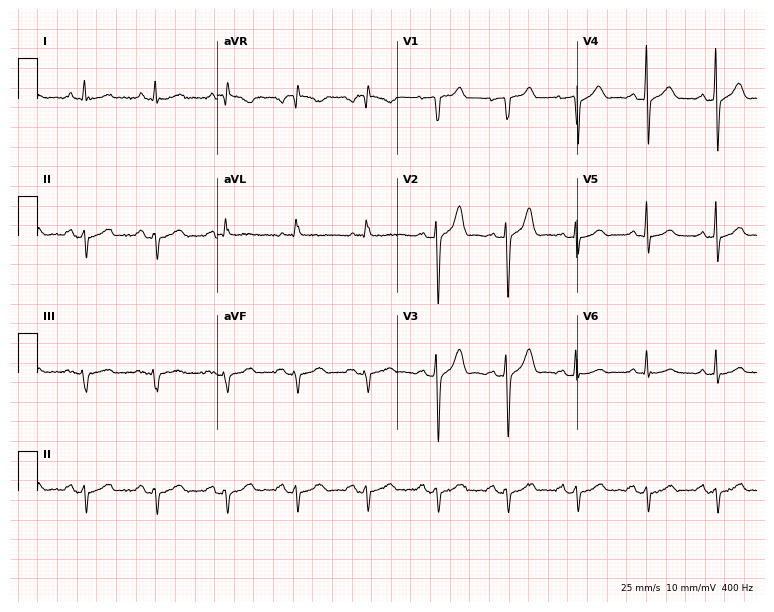
Standard 12-lead ECG recorded from a 61-year-old man. None of these six findings is recorded: first-degree AV block, right bundle branch block, left bundle branch block, sinus bradycardia, atrial fibrillation, sinus tachycardia. Other findings, if any, are not listed.